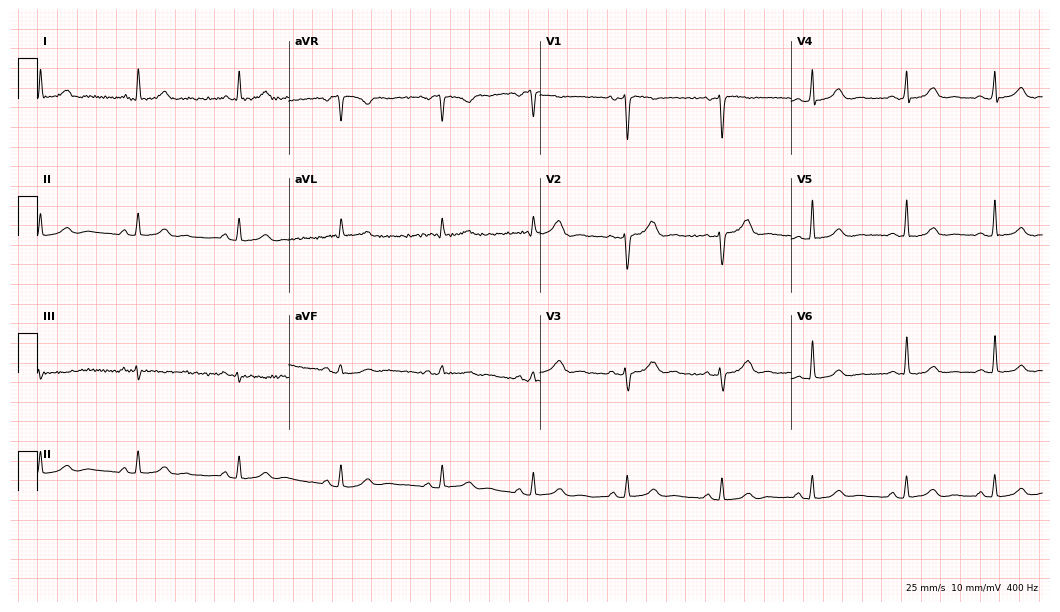
Resting 12-lead electrocardiogram. Patient: a 37-year-old woman. Read as a normal ECG.